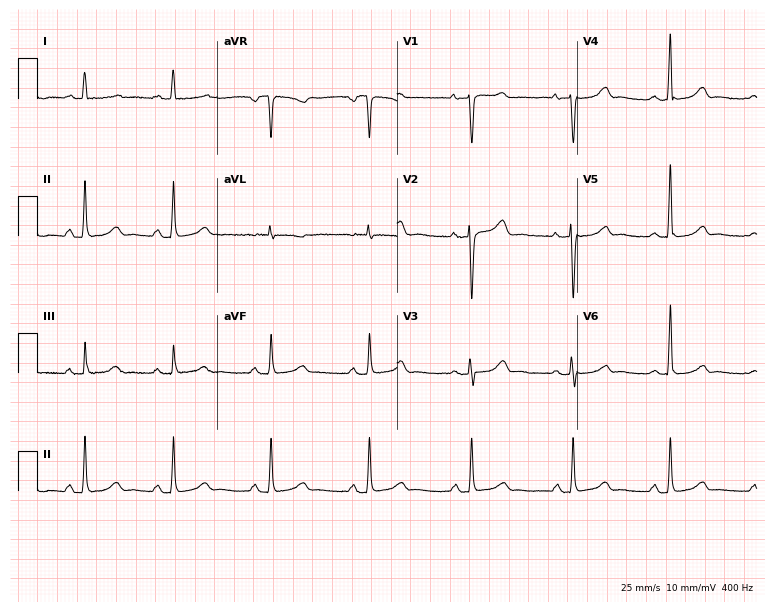
ECG (7.3-second recording at 400 Hz) — a woman, 32 years old. Labelled as a normal ECG.